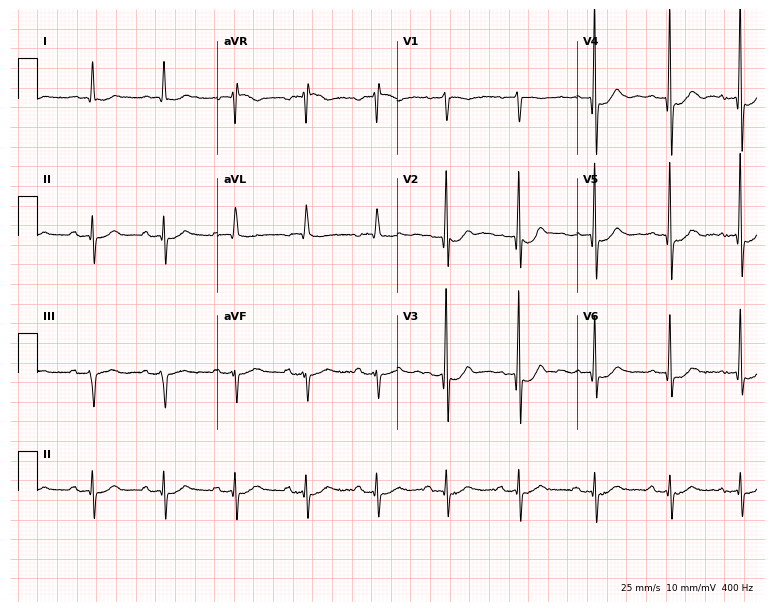
12-lead ECG (7.3-second recording at 400 Hz) from a male, 85 years old. Screened for six findings — first-degree AV block, right bundle branch block, left bundle branch block, sinus bradycardia, atrial fibrillation, sinus tachycardia — none is recorded.